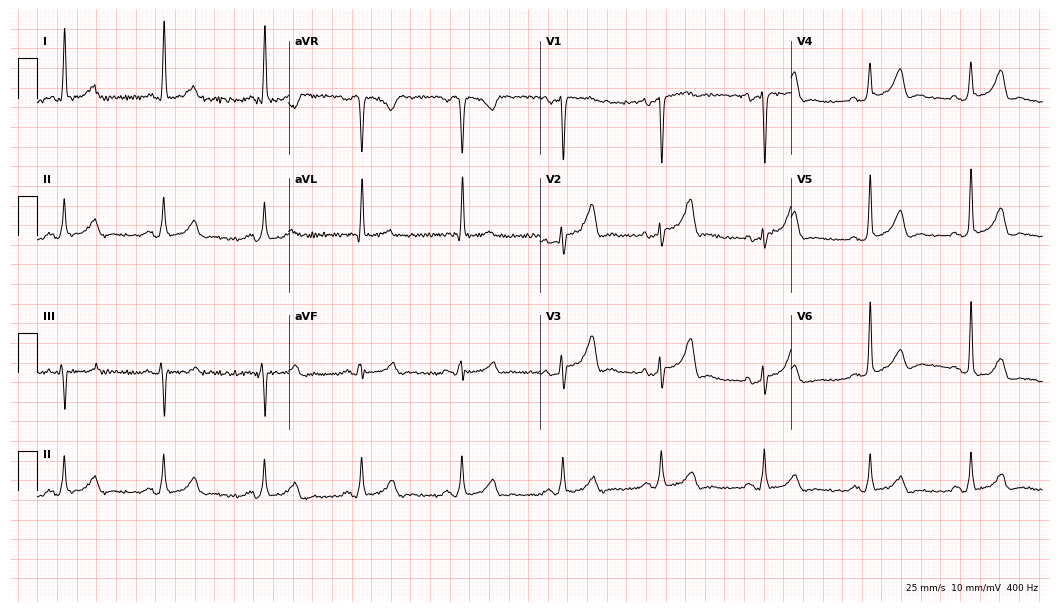
Resting 12-lead electrocardiogram. Patient: a 58-year-old female. None of these six findings is recorded: first-degree AV block, right bundle branch block, left bundle branch block, sinus bradycardia, atrial fibrillation, sinus tachycardia.